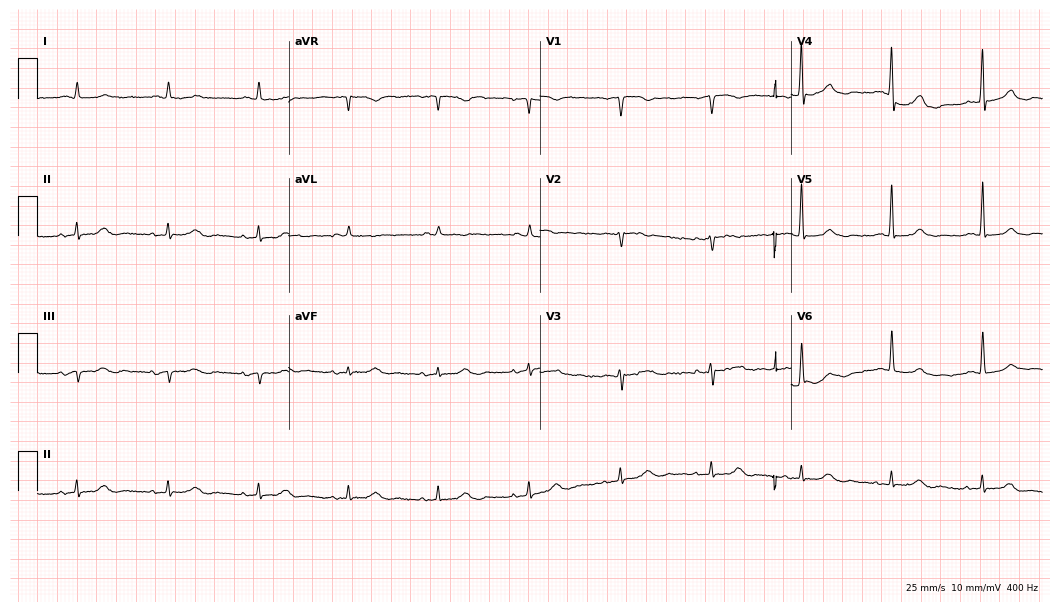
ECG (10.2-second recording at 400 Hz) — a male patient, 87 years old. Screened for six findings — first-degree AV block, right bundle branch block, left bundle branch block, sinus bradycardia, atrial fibrillation, sinus tachycardia — none is recorded.